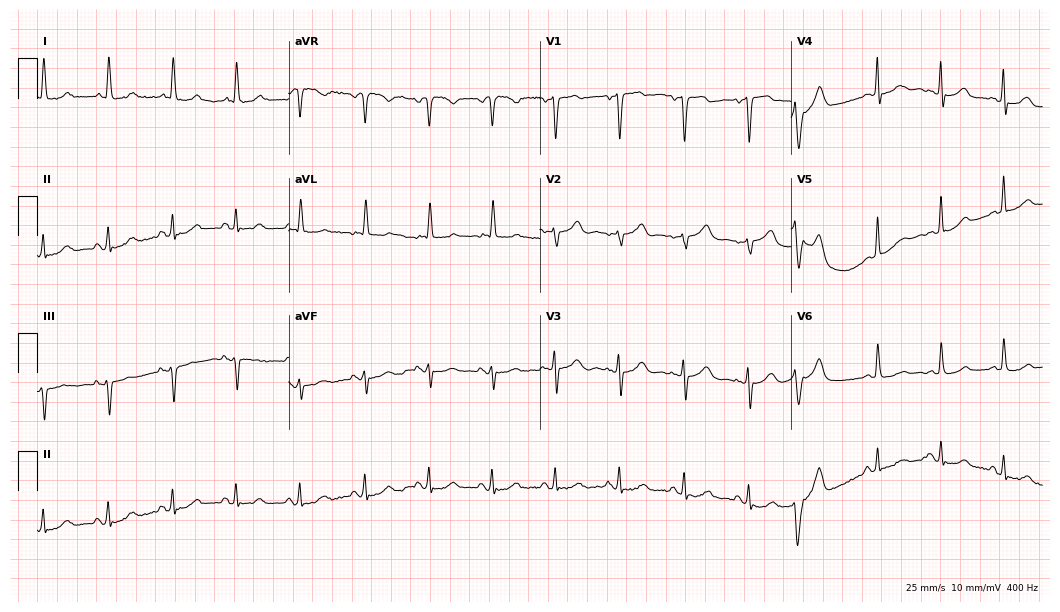
Standard 12-lead ECG recorded from a female patient, 63 years old. None of these six findings is recorded: first-degree AV block, right bundle branch block (RBBB), left bundle branch block (LBBB), sinus bradycardia, atrial fibrillation (AF), sinus tachycardia. Other findings, if any, are not listed.